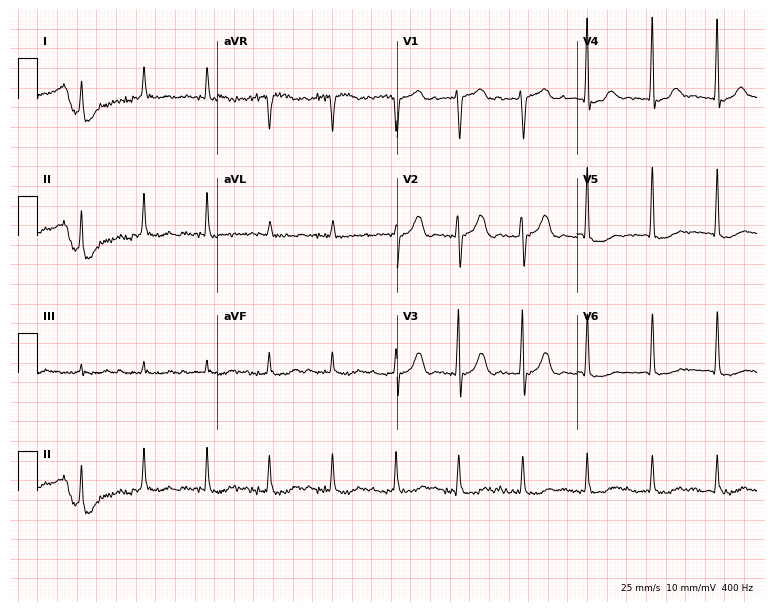
ECG — an 81-year-old female. Screened for six findings — first-degree AV block, right bundle branch block, left bundle branch block, sinus bradycardia, atrial fibrillation, sinus tachycardia — none is recorded. Findings outside these six are not listed.